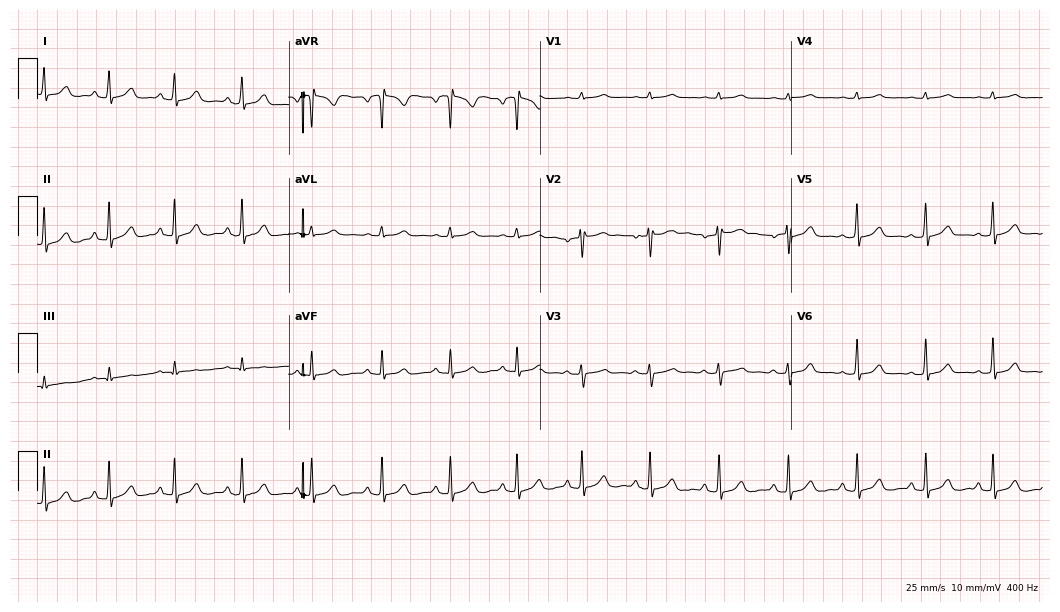
ECG (10.2-second recording at 400 Hz) — a woman, 19 years old. Screened for six findings — first-degree AV block, right bundle branch block, left bundle branch block, sinus bradycardia, atrial fibrillation, sinus tachycardia — none is recorded. Other findings, if any, are not listed.